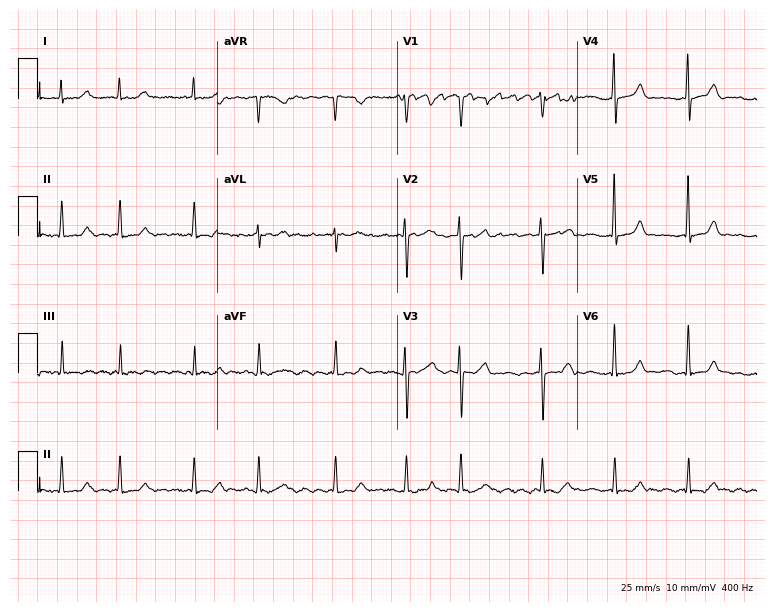
Resting 12-lead electrocardiogram. Patient: a female, 74 years old. The tracing shows atrial fibrillation.